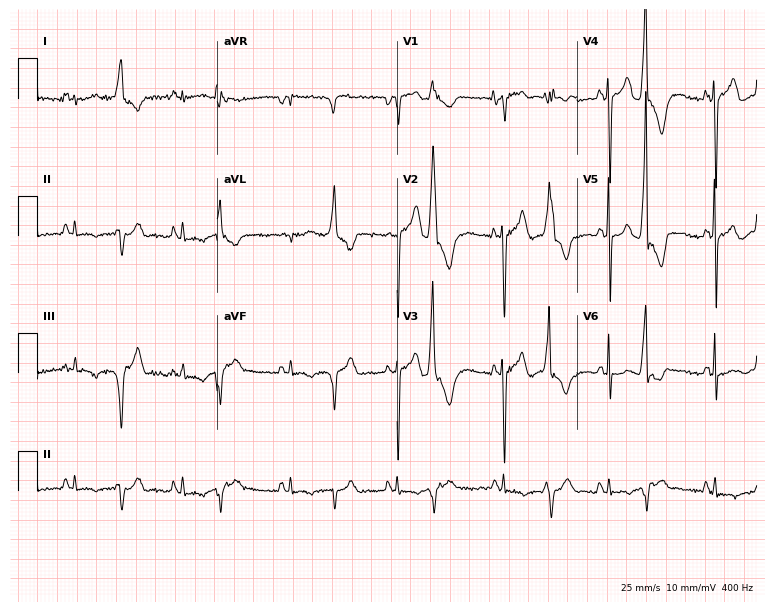
12-lead ECG from a female patient, 47 years old. Screened for six findings — first-degree AV block, right bundle branch block, left bundle branch block, sinus bradycardia, atrial fibrillation, sinus tachycardia — none is recorded. Only these six findings were labelled.